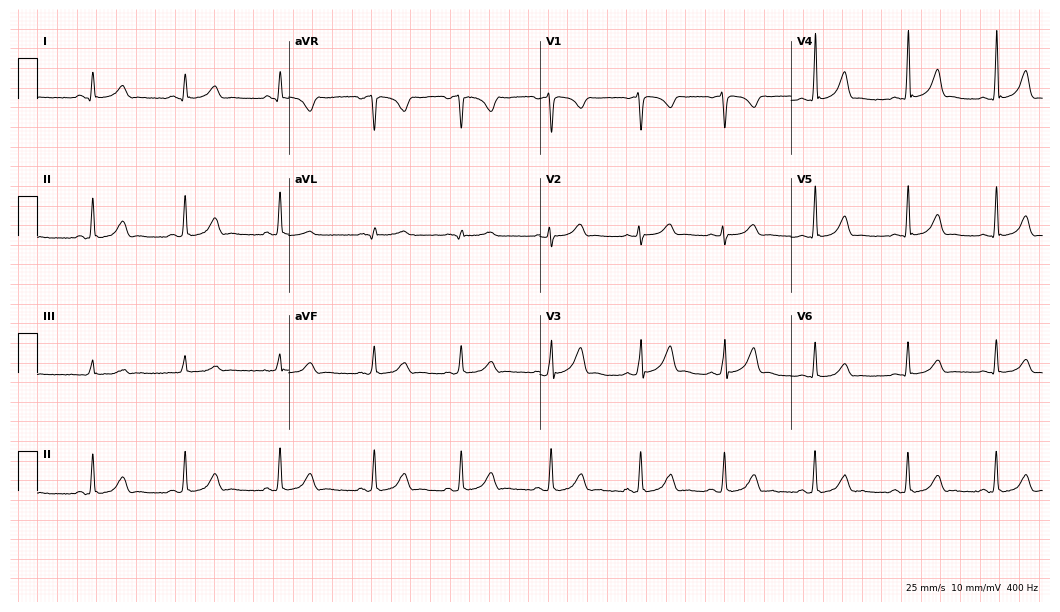
Electrocardiogram, a 31-year-old woman. Overall reading on record: normal ECG.